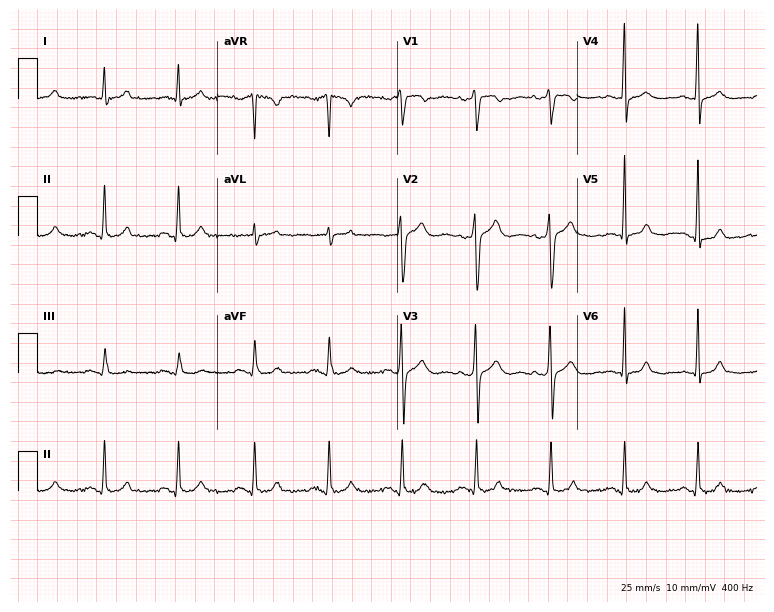
Electrocardiogram, a male, 36 years old. Overall reading on record: normal ECG.